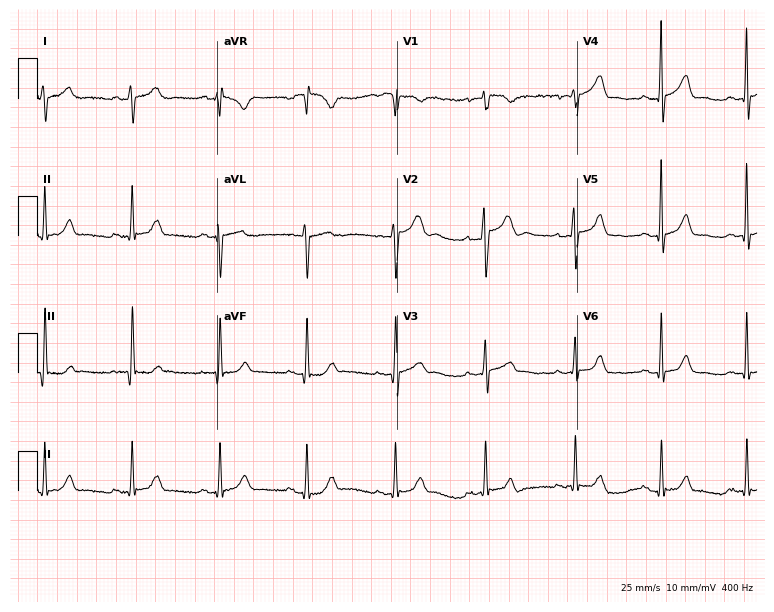
12-lead ECG from a male patient, 24 years old. Screened for six findings — first-degree AV block, right bundle branch block, left bundle branch block, sinus bradycardia, atrial fibrillation, sinus tachycardia — none is recorded. Only these six findings were labelled.